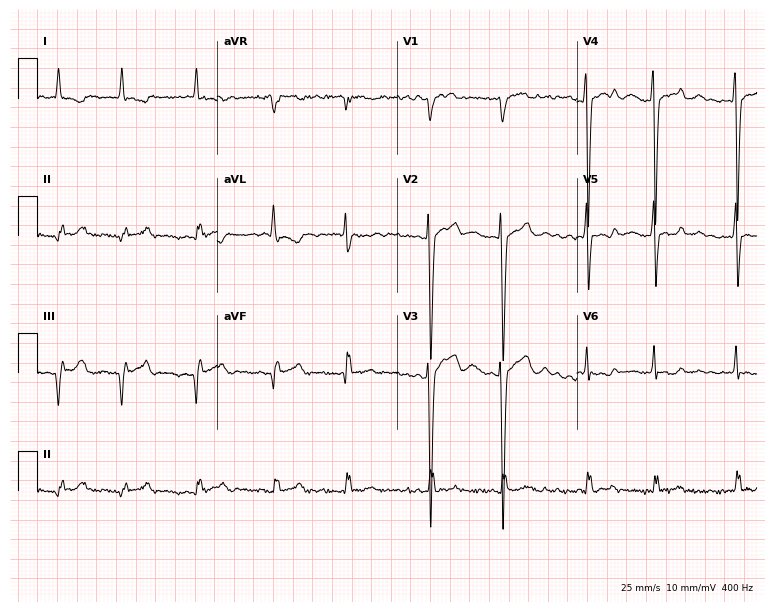
Electrocardiogram (7.3-second recording at 400 Hz), a 38-year-old female. Of the six screened findings (first-degree AV block, right bundle branch block, left bundle branch block, sinus bradycardia, atrial fibrillation, sinus tachycardia), none is recorded.